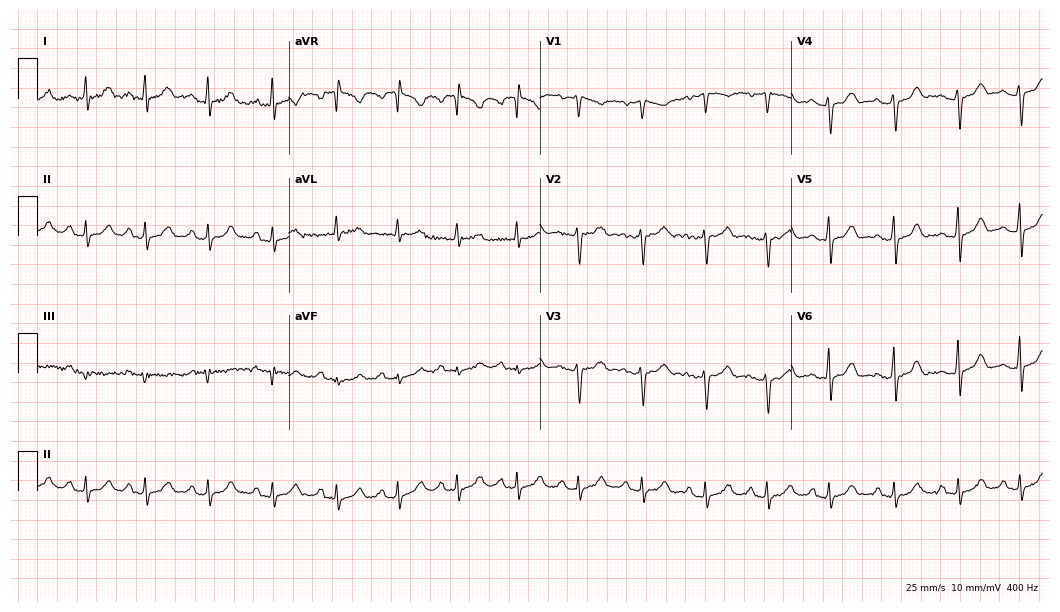
12-lead ECG from a female patient, 28 years old (10.2-second recording at 400 Hz). Recorded interpretation: within normal limits.